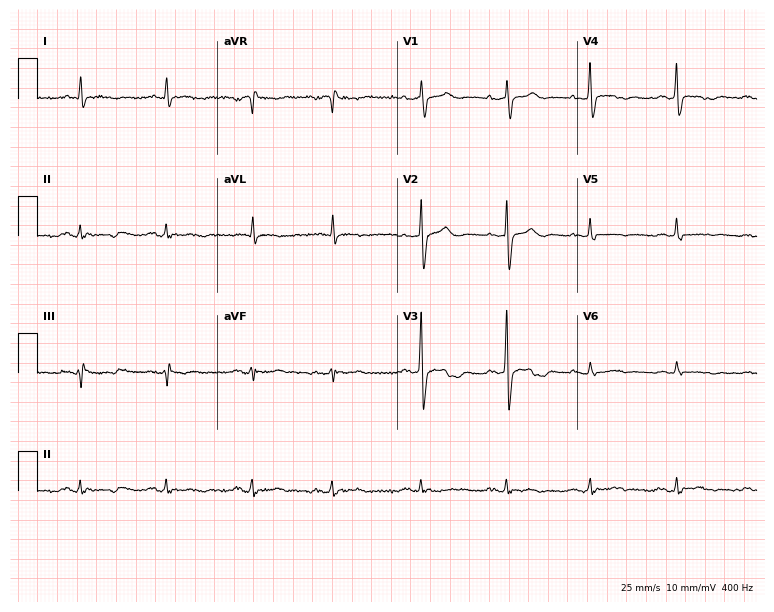
Standard 12-lead ECG recorded from a male, 81 years old. None of these six findings is recorded: first-degree AV block, right bundle branch block, left bundle branch block, sinus bradycardia, atrial fibrillation, sinus tachycardia. Other findings, if any, are not listed.